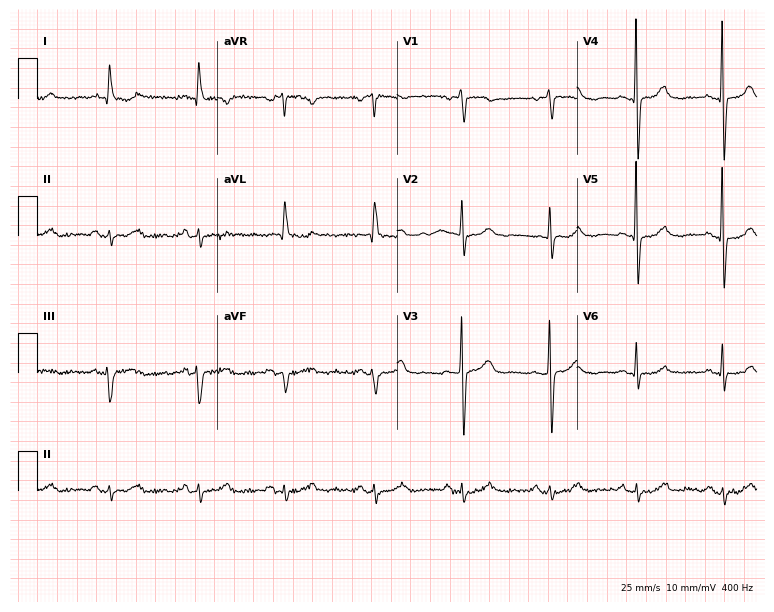
ECG — an 83-year-old female patient. Screened for six findings — first-degree AV block, right bundle branch block, left bundle branch block, sinus bradycardia, atrial fibrillation, sinus tachycardia — none is recorded. Only these six findings were labelled.